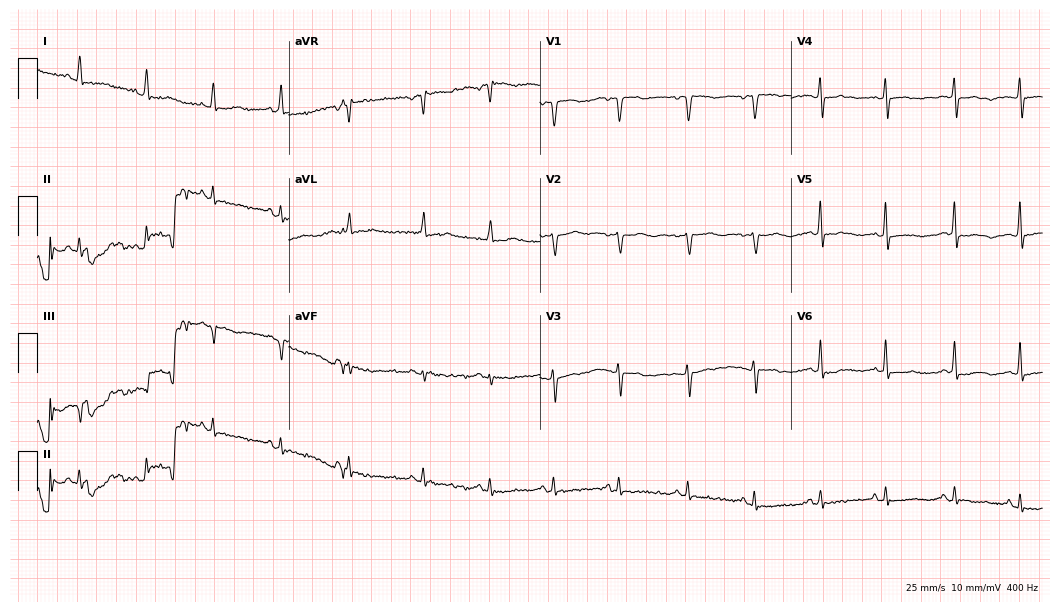
12-lead ECG (10.2-second recording at 400 Hz) from a female, 85 years old. Screened for six findings — first-degree AV block, right bundle branch block, left bundle branch block, sinus bradycardia, atrial fibrillation, sinus tachycardia — none is recorded.